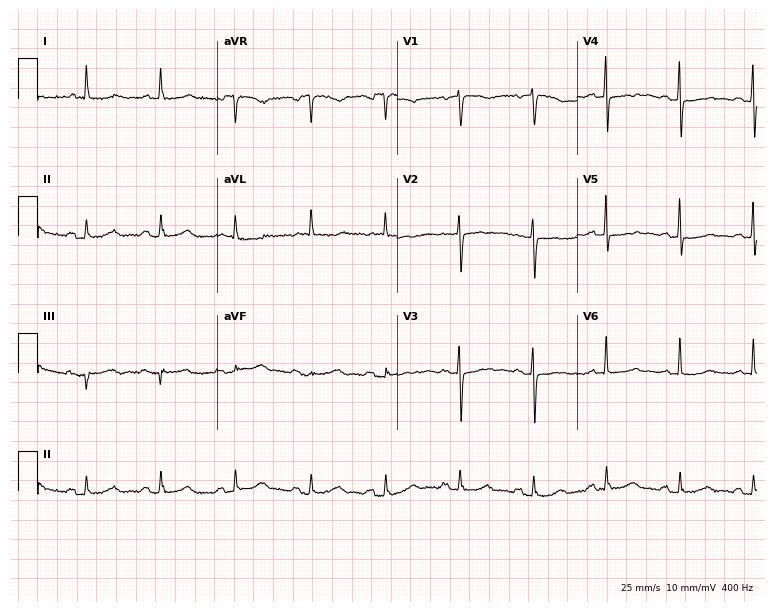
ECG — a woman, 67 years old. Screened for six findings — first-degree AV block, right bundle branch block, left bundle branch block, sinus bradycardia, atrial fibrillation, sinus tachycardia — none is recorded.